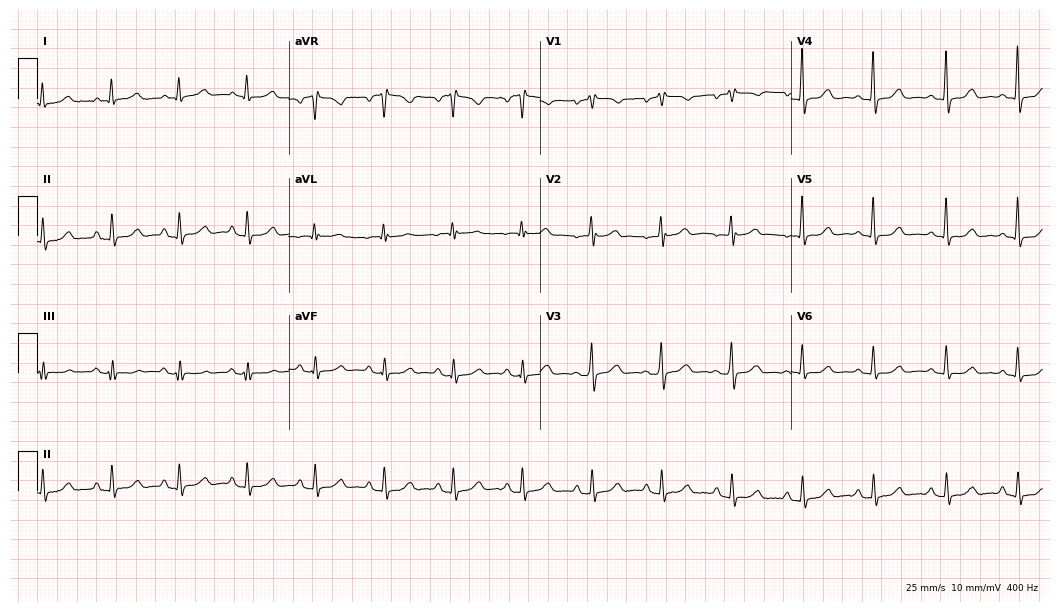
Standard 12-lead ECG recorded from a female patient, 56 years old. None of these six findings is recorded: first-degree AV block, right bundle branch block (RBBB), left bundle branch block (LBBB), sinus bradycardia, atrial fibrillation (AF), sinus tachycardia.